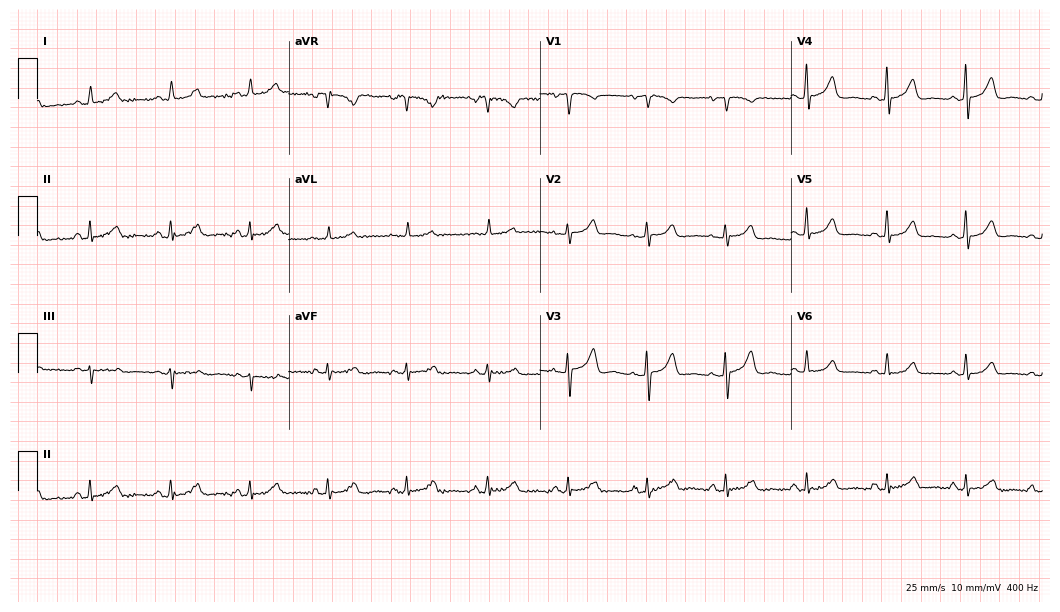
Electrocardiogram, a 60-year-old woman. Of the six screened findings (first-degree AV block, right bundle branch block, left bundle branch block, sinus bradycardia, atrial fibrillation, sinus tachycardia), none is recorded. Other findings, if any, are not listed.